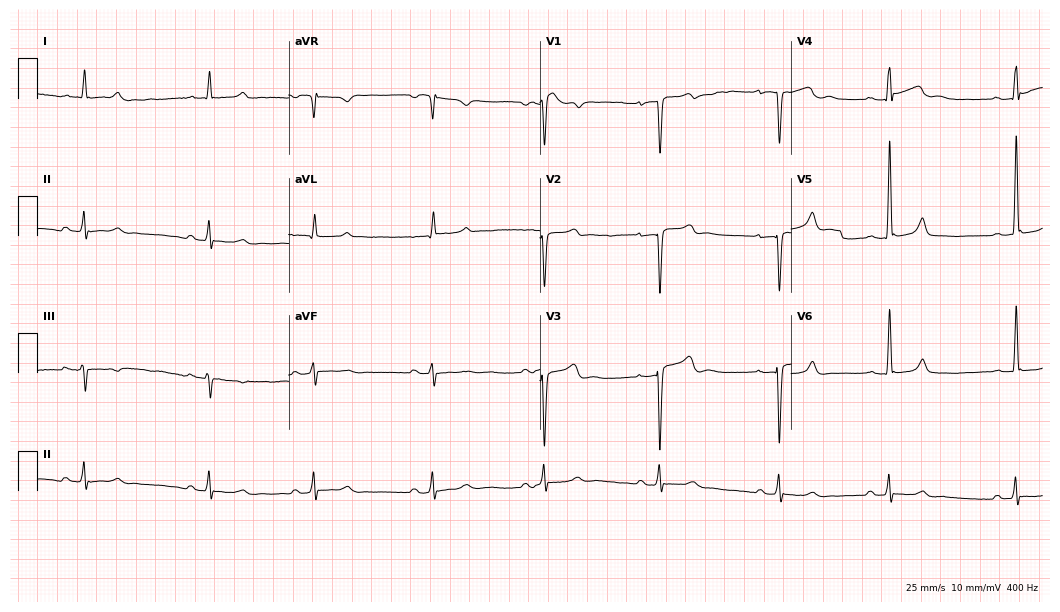
Electrocardiogram, a 33-year-old male. Of the six screened findings (first-degree AV block, right bundle branch block (RBBB), left bundle branch block (LBBB), sinus bradycardia, atrial fibrillation (AF), sinus tachycardia), none is recorded.